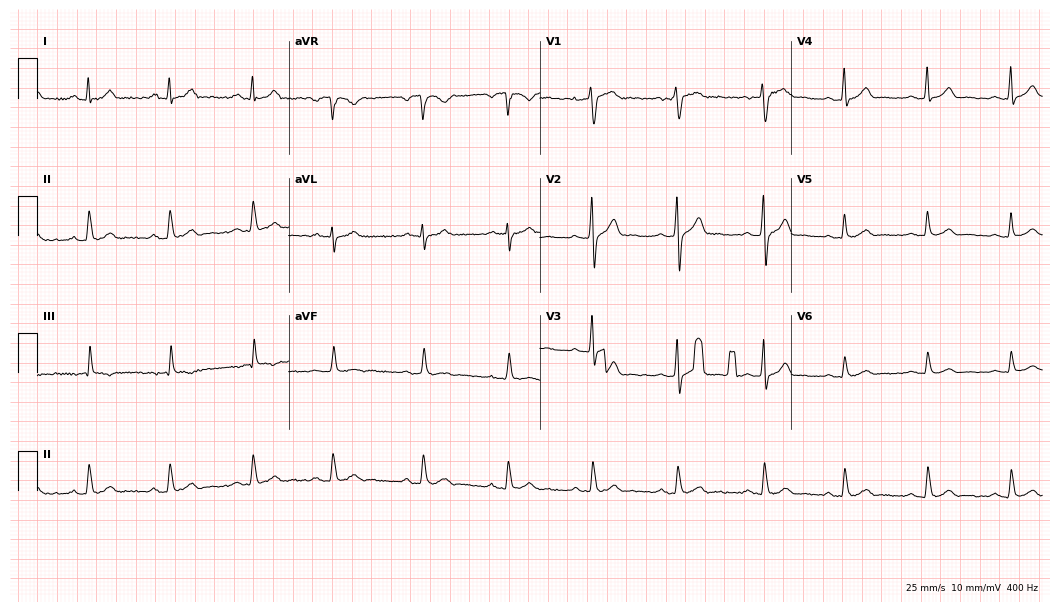
Standard 12-lead ECG recorded from a male, 24 years old. Read as a normal ECG.